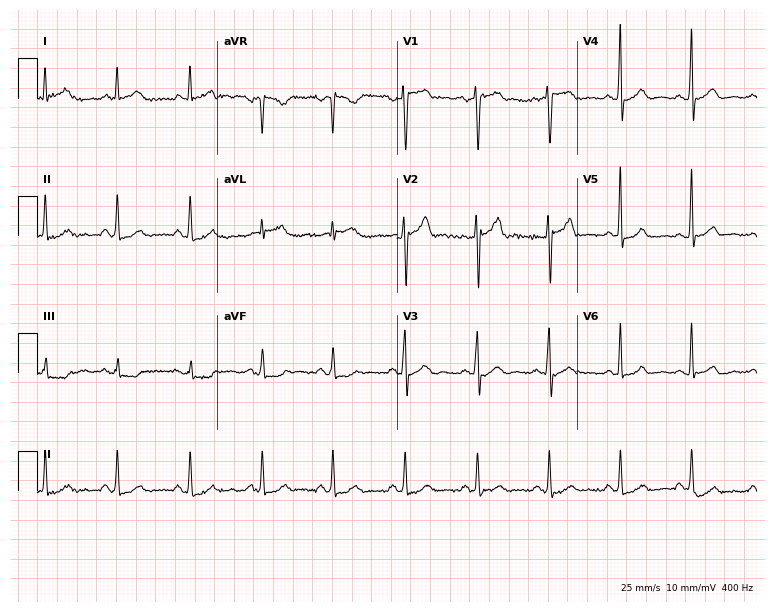
Standard 12-lead ECG recorded from a male, 44 years old. None of these six findings is recorded: first-degree AV block, right bundle branch block, left bundle branch block, sinus bradycardia, atrial fibrillation, sinus tachycardia. Only these six findings were labelled.